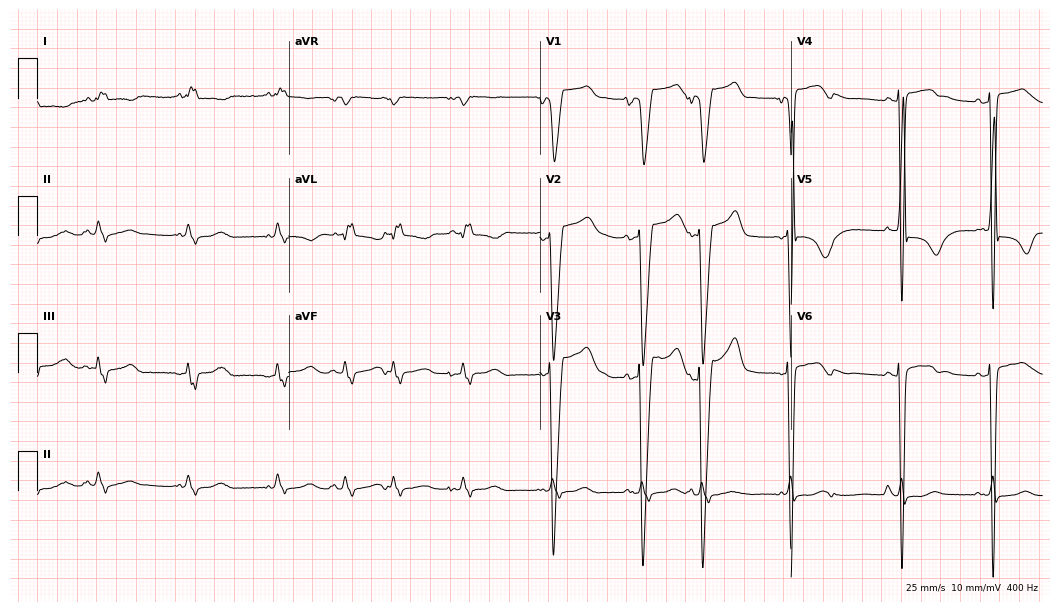
Resting 12-lead electrocardiogram (10.2-second recording at 400 Hz). Patient: an 82-year-old male. None of these six findings is recorded: first-degree AV block, right bundle branch block, left bundle branch block, sinus bradycardia, atrial fibrillation, sinus tachycardia. Only these six findings were labelled.